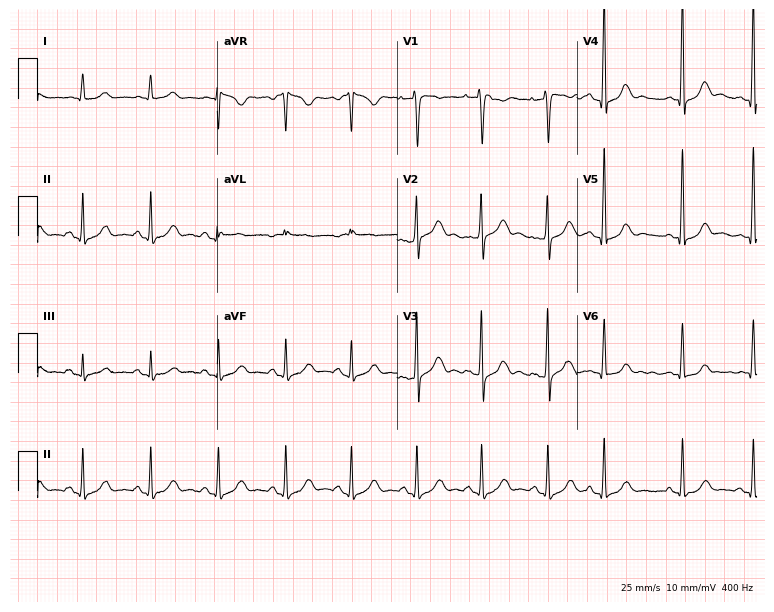
Electrocardiogram (7.3-second recording at 400 Hz), a 74-year-old man. Of the six screened findings (first-degree AV block, right bundle branch block, left bundle branch block, sinus bradycardia, atrial fibrillation, sinus tachycardia), none is recorded. Other findings, if any, are not listed.